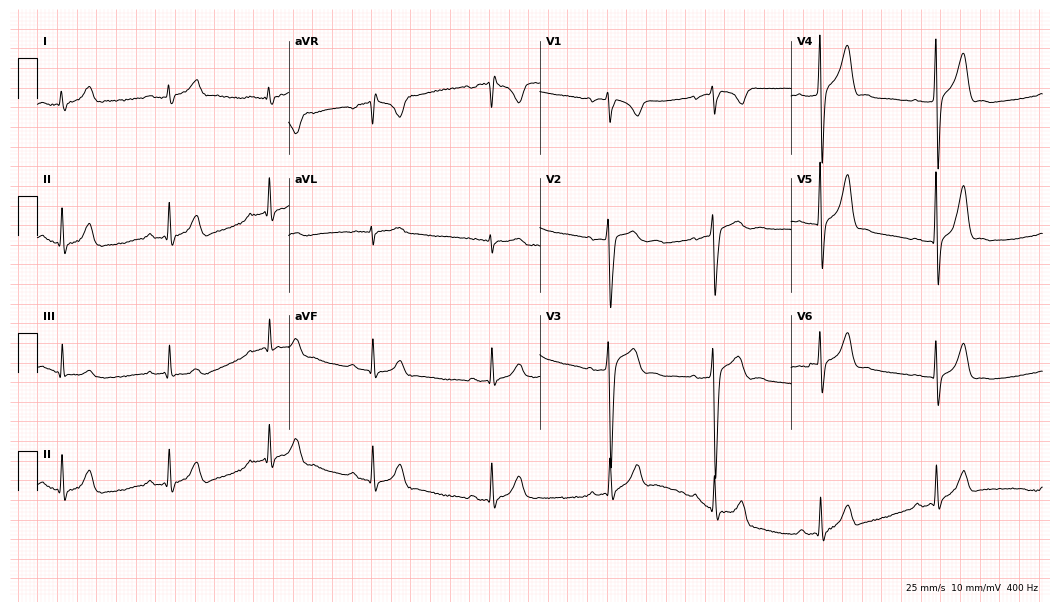
12-lead ECG from a 23-year-old male patient (10.2-second recording at 400 Hz). Recorded interpretation: within normal limits.